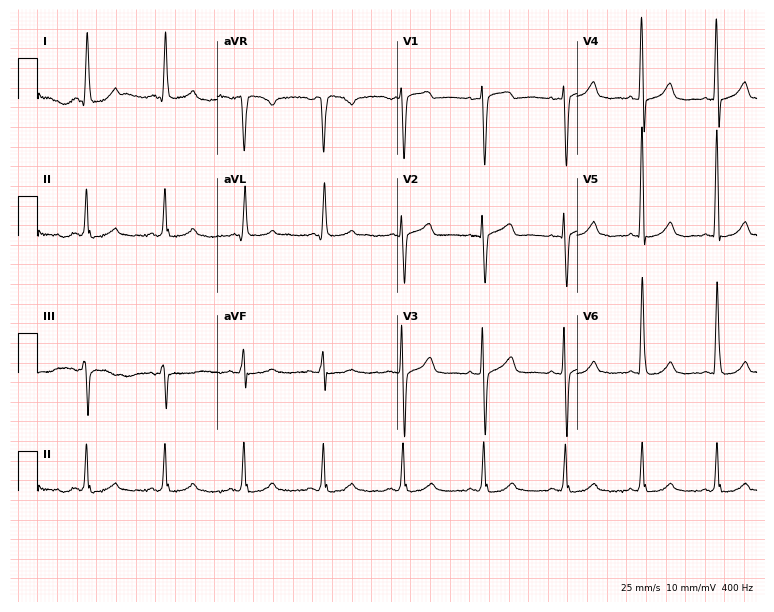
ECG (7.3-second recording at 400 Hz) — a female, 71 years old. Screened for six findings — first-degree AV block, right bundle branch block, left bundle branch block, sinus bradycardia, atrial fibrillation, sinus tachycardia — none is recorded.